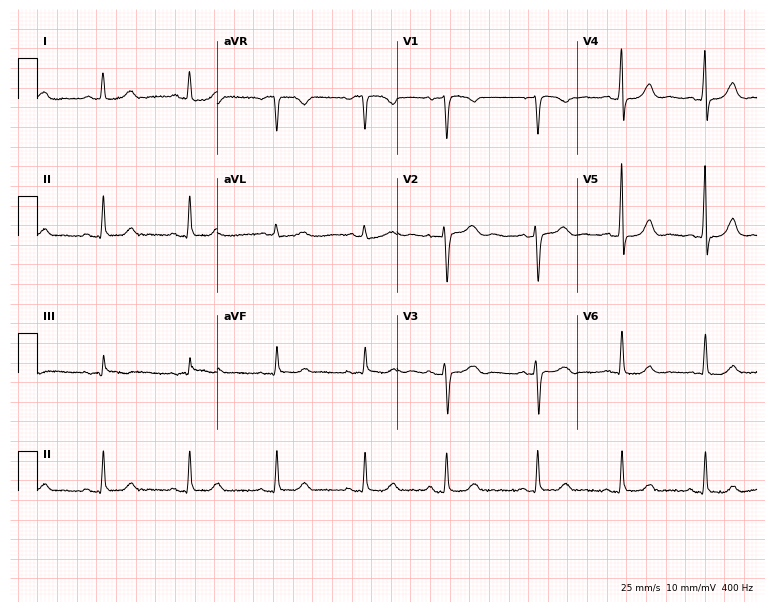
12-lead ECG from a female patient, 75 years old. Labelled as a normal ECG.